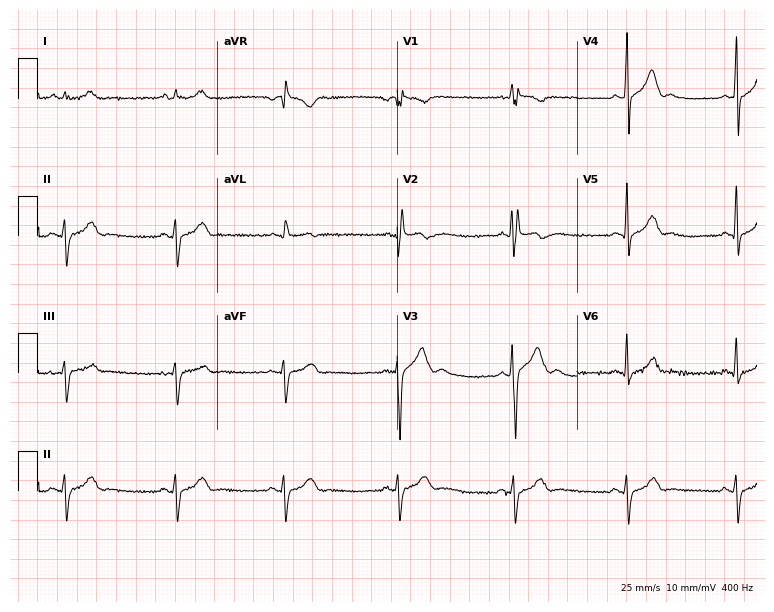
ECG (7.3-second recording at 400 Hz) — a male, 20 years old. Screened for six findings — first-degree AV block, right bundle branch block (RBBB), left bundle branch block (LBBB), sinus bradycardia, atrial fibrillation (AF), sinus tachycardia — none is recorded.